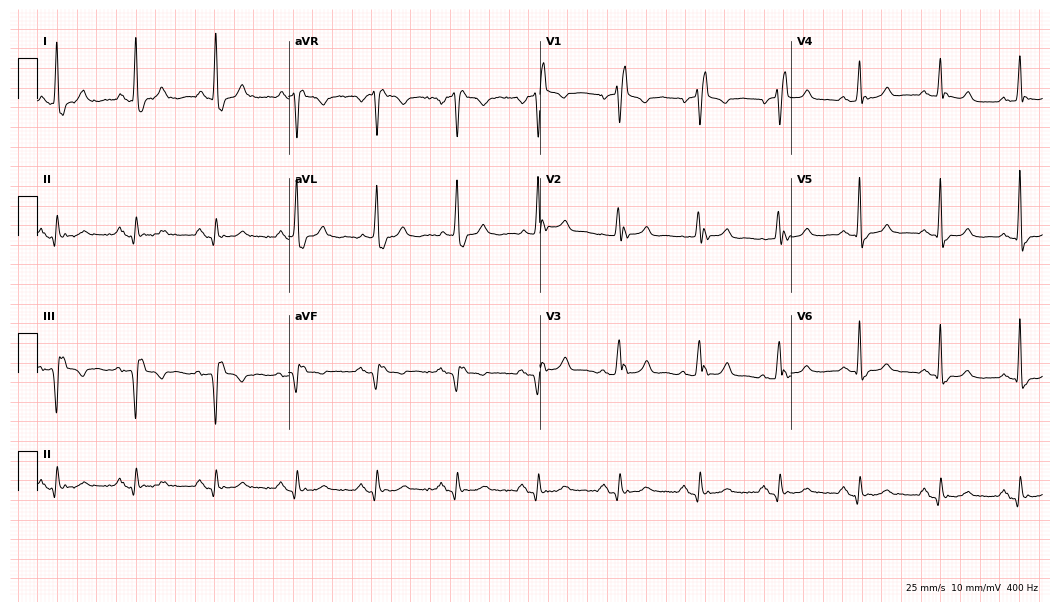
ECG (10.2-second recording at 400 Hz) — a male patient, 70 years old. Findings include right bundle branch block (RBBB).